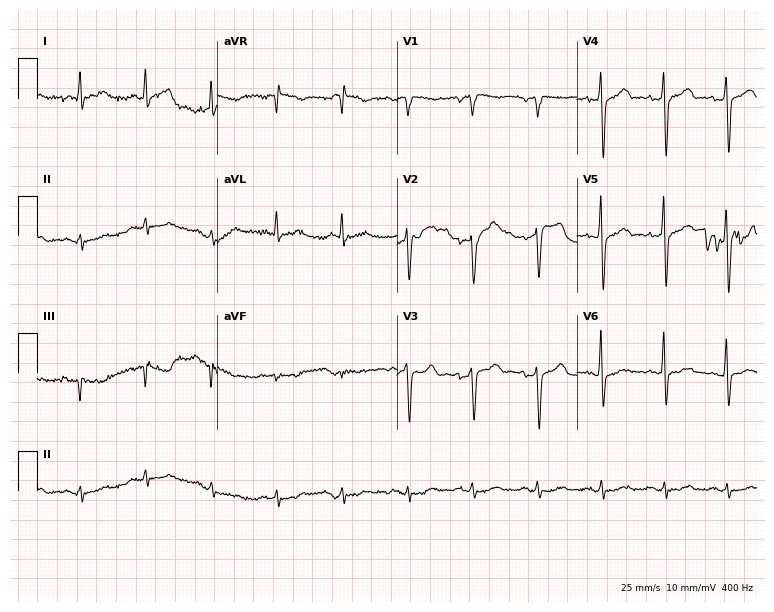
12-lead ECG (7.3-second recording at 400 Hz) from a 63-year-old male patient. Screened for six findings — first-degree AV block, right bundle branch block, left bundle branch block, sinus bradycardia, atrial fibrillation, sinus tachycardia — none is recorded. Only these six findings were labelled.